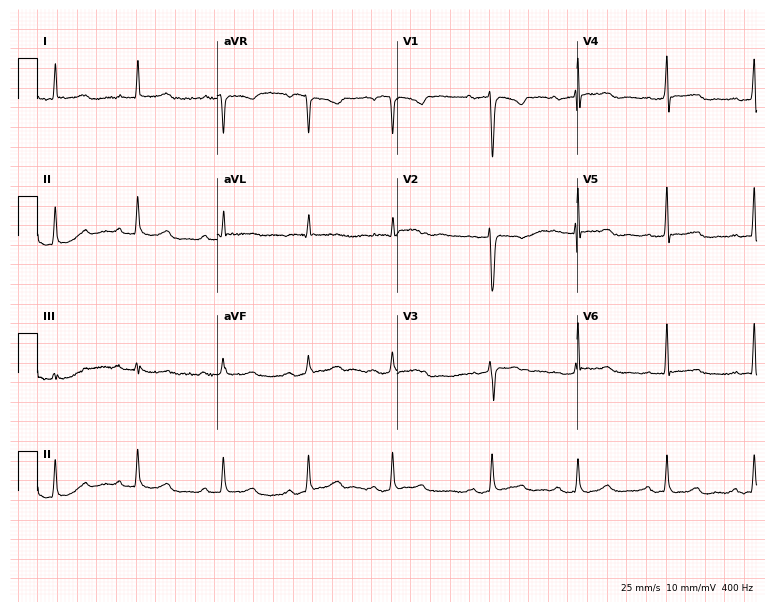
Standard 12-lead ECG recorded from a 55-year-old female (7.3-second recording at 400 Hz). Read as a normal ECG.